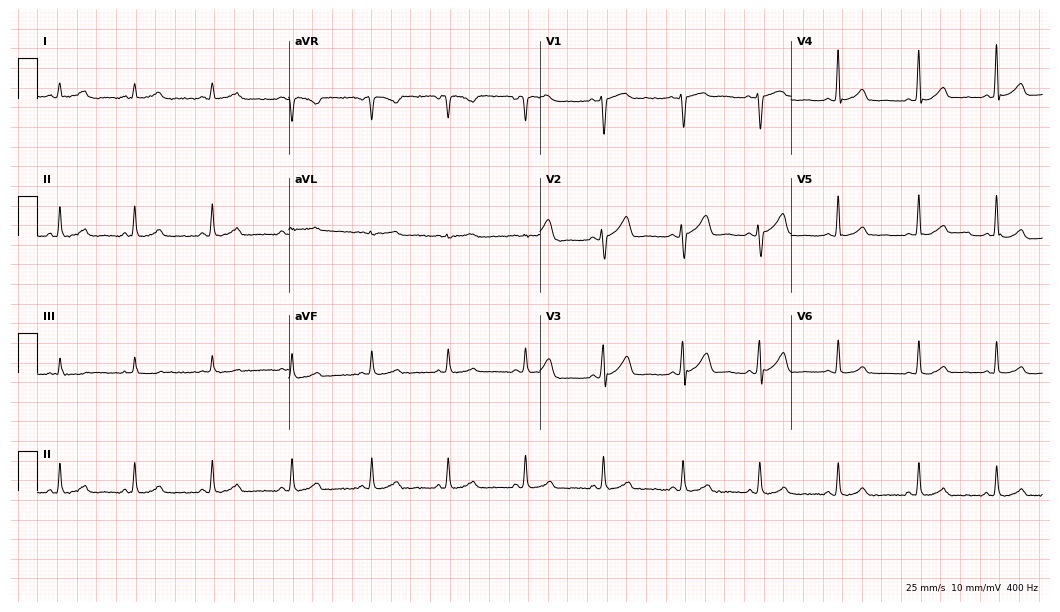
12-lead ECG from a 30-year-old woman. No first-degree AV block, right bundle branch block, left bundle branch block, sinus bradycardia, atrial fibrillation or sinus tachycardia recorded for this tracing. Findings outside these six are not listed.